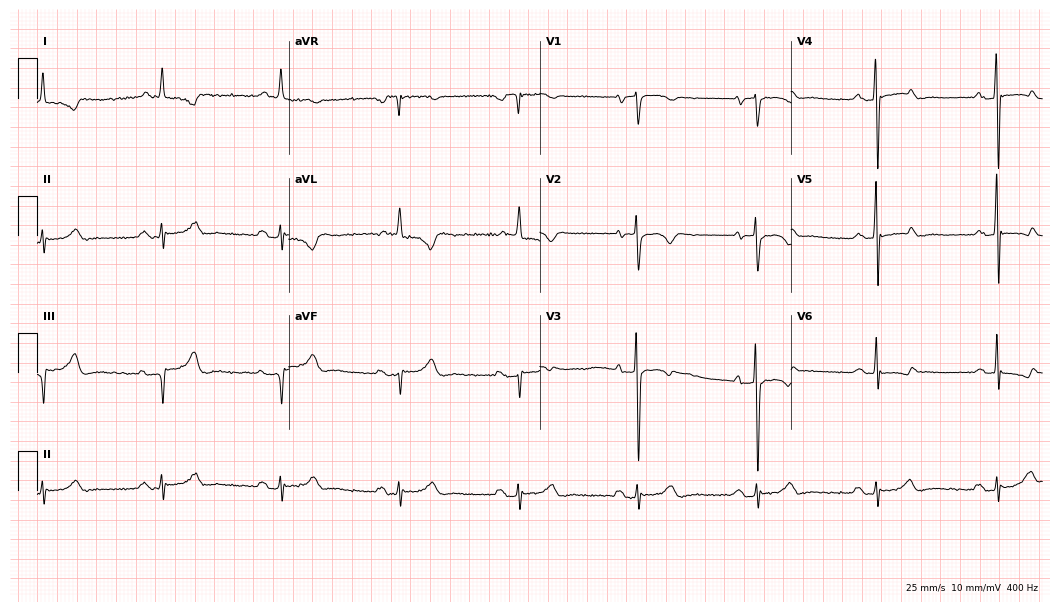
Standard 12-lead ECG recorded from a male, 70 years old (10.2-second recording at 400 Hz). The tracing shows sinus bradycardia (a sinus rate of 50 beats per minute or less).